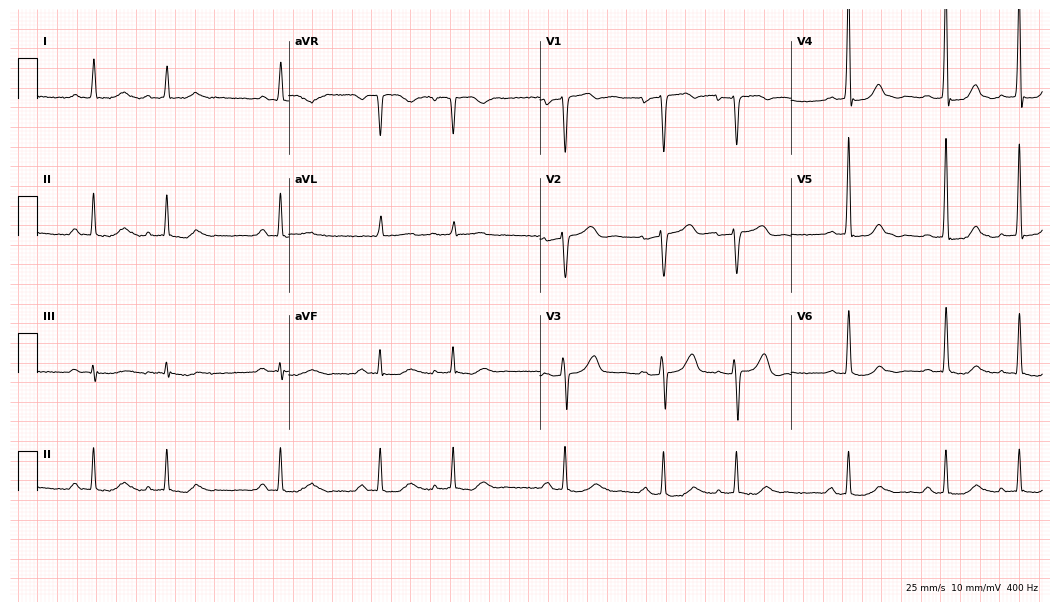
Electrocardiogram (10.2-second recording at 400 Hz), a male patient, 69 years old. Of the six screened findings (first-degree AV block, right bundle branch block (RBBB), left bundle branch block (LBBB), sinus bradycardia, atrial fibrillation (AF), sinus tachycardia), none is recorded. Other findings, if any, are not listed.